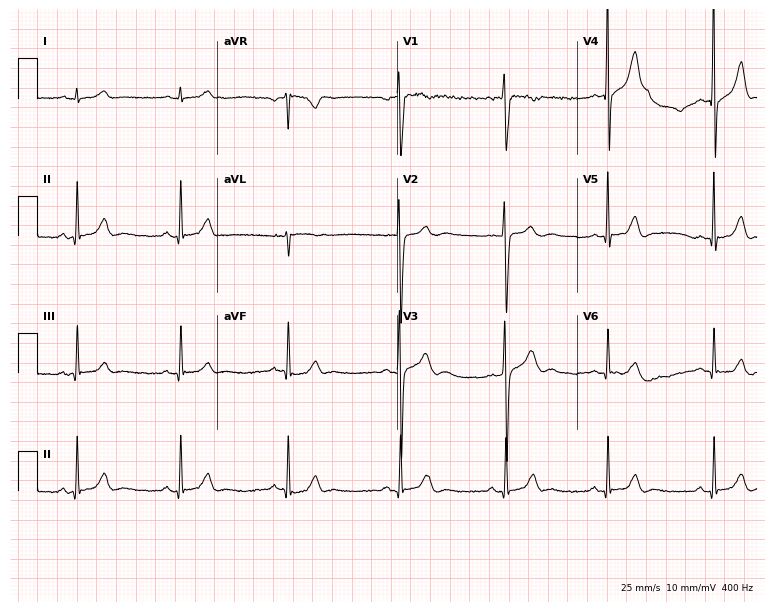
Electrocardiogram, a male patient, 18 years old. Overall reading on record: normal ECG.